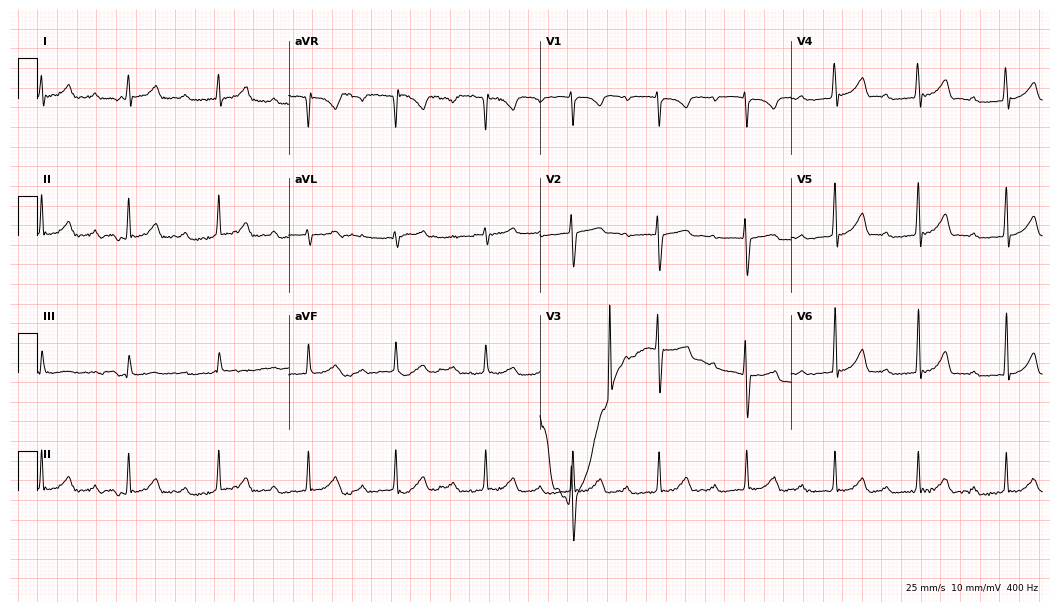
Electrocardiogram, a 22-year-old woman. Of the six screened findings (first-degree AV block, right bundle branch block, left bundle branch block, sinus bradycardia, atrial fibrillation, sinus tachycardia), none is recorded.